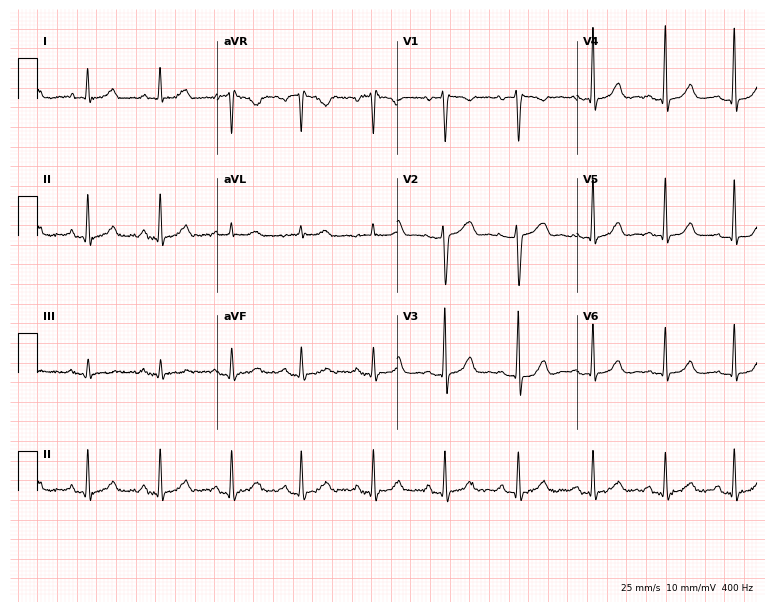
ECG — a 49-year-old female. Labelled as a normal ECG.